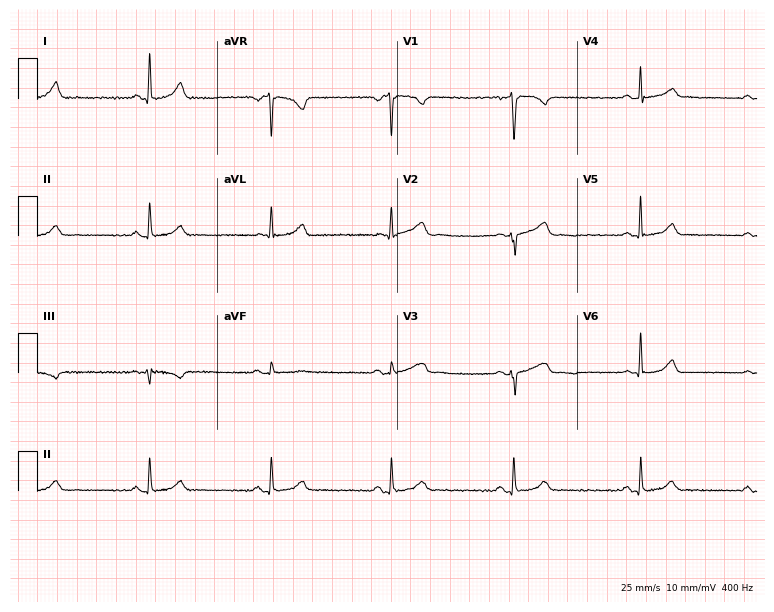
12-lead ECG from a 28-year-old woman. Screened for six findings — first-degree AV block, right bundle branch block (RBBB), left bundle branch block (LBBB), sinus bradycardia, atrial fibrillation (AF), sinus tachycardia — none is recorded.